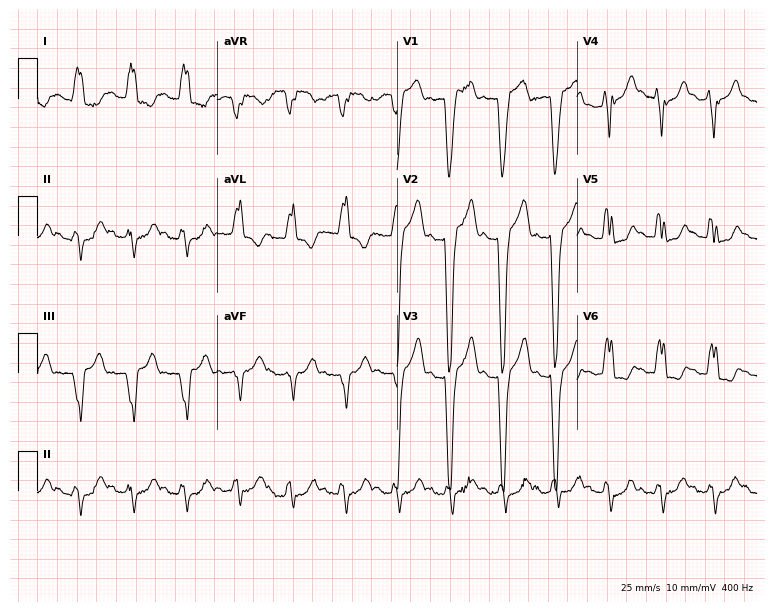
Resting 12-lead electrocardiogram. Patient: a female, 84 years old. The tracing shows left bundle branch block, sinus tachycardia (a sinus rate of 100 beats per minute or more).